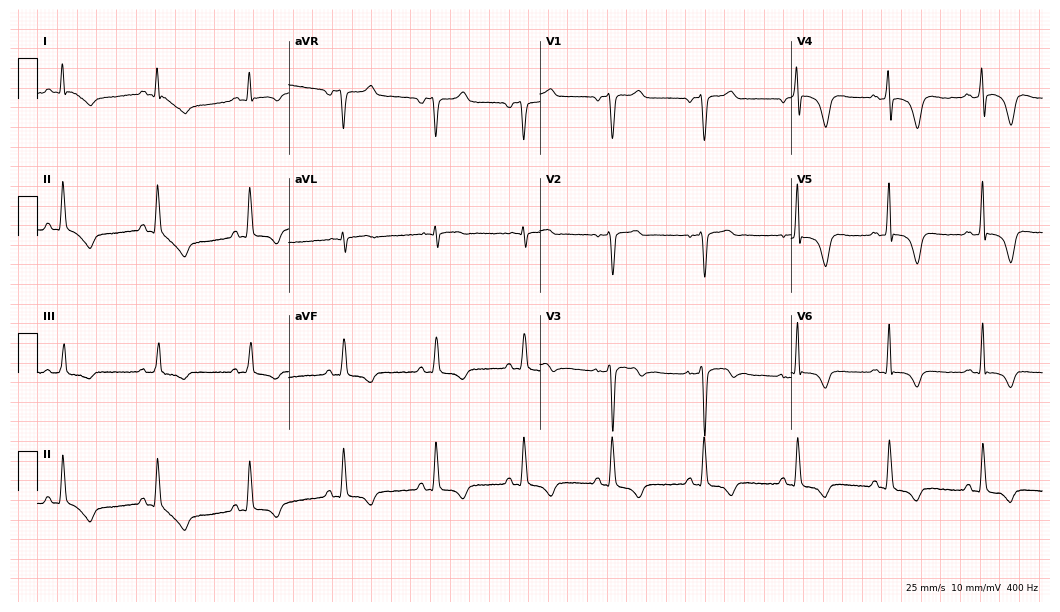
12-lead ECG (10.2-second recording at 400 Hz) from a man, 54 years old. Screened for six findings — first-degree AV block, right bundle branch block, left bundle branch block, sinus bradycardia, atrial fibrillation, sinus tachycardia — none is recorded.